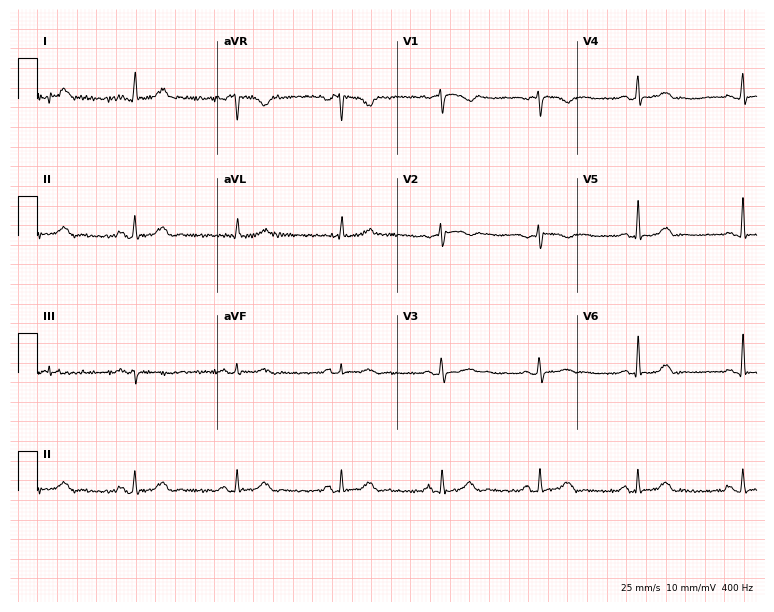
12-lead ECG from a female, 32 years old (7.3-second recording at 400 Hz). Recorded interpretation: within normal limits.